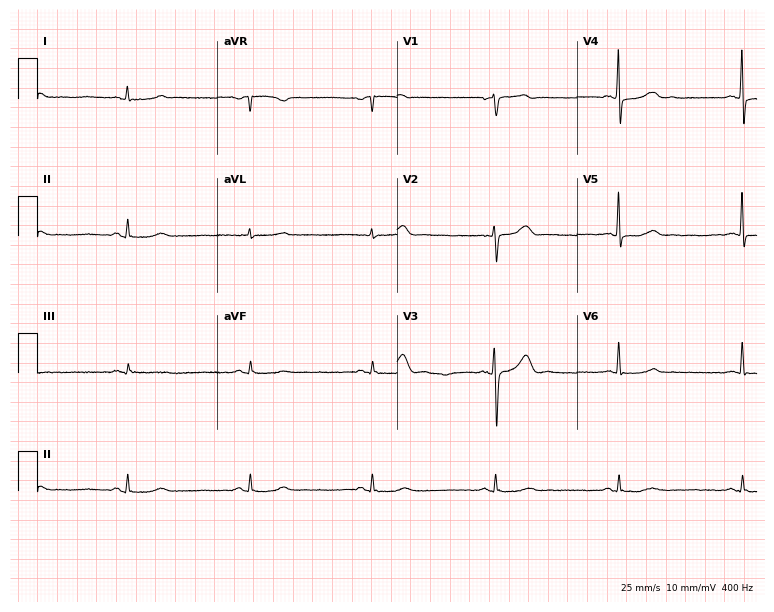
Resting 12-lead electrocardiogram. Patient: a 71-year-old male. The tracing shows sinus bradycardia (a sinus rate of 50 beats per minute or less).